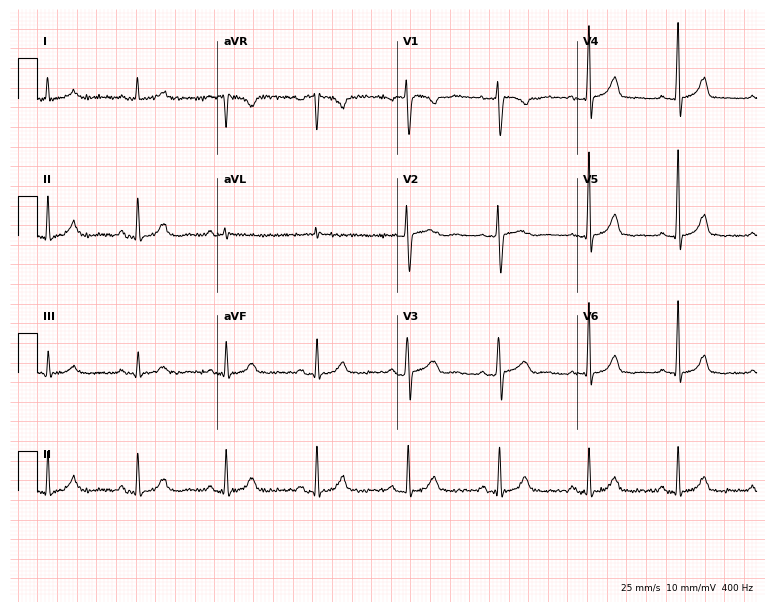
ECG (7.3-second recording at 400 Hz) — a woman, 45 years old. Screened for six findings — first-degree AV block, right bundle branch block (RBBB), left bundle branch block (LBBB), sinus bradycardia, atrial fibrillation (AF), sinus tachycardia — none is recorded.